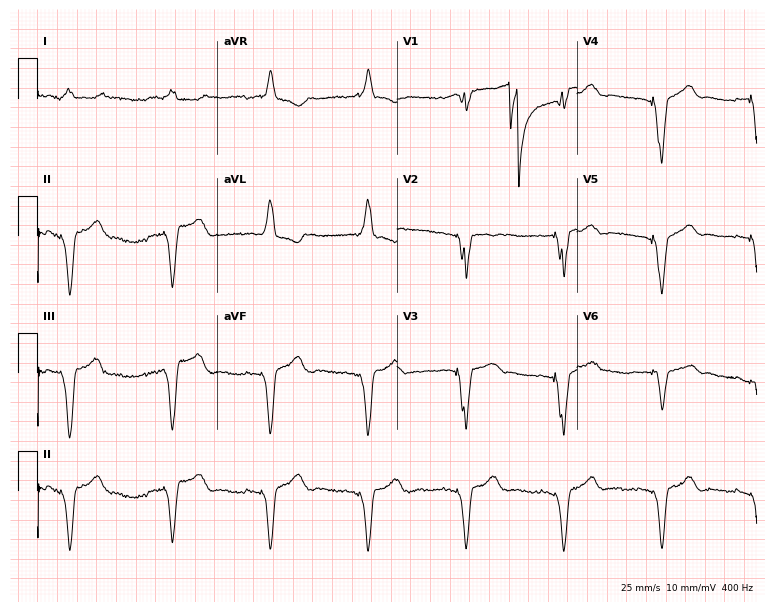
Electrocardiogram, an 83-year-old female. Of the six screened findings (first-degree AV block, right bundle branch block, left bundle branch block, sinus bradycardia, atrial fibrillation, sinus tachycardia), none is recorded. Only these six findings were labelled.